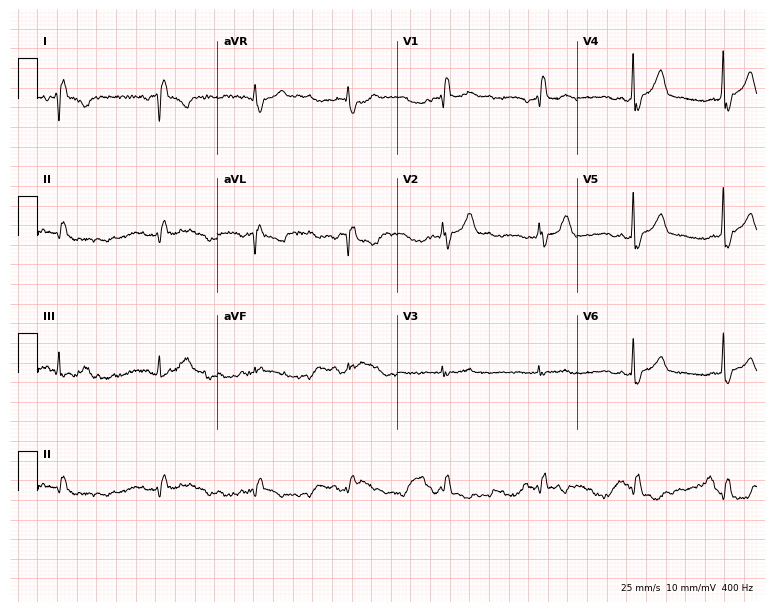
Resting 12-lead electrocardiogram (7.3-second recording at 400 Hz). Patient: a man, 72 years old. None of these six findings is recorded: first-degree AV block, right bundle branch block, left bundle branch block, sinus bradycardia, atrial fibrillation, sinus tachycardia.